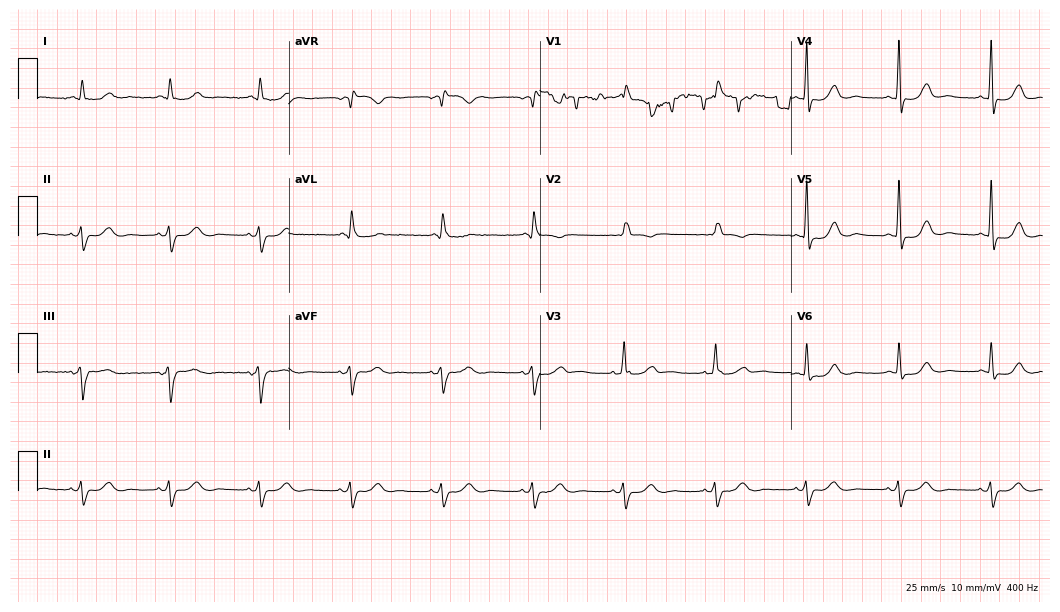
ECG — a male patient, 72 years old. Screened for six findings — first-degree AV block, right bundle branch block (RBBB), left bundle branch block (LBBB), sinus bradycardia, atrial fibrillation (AF), sinus tachycardia — none is recorded. Findings outside these six are not listed.